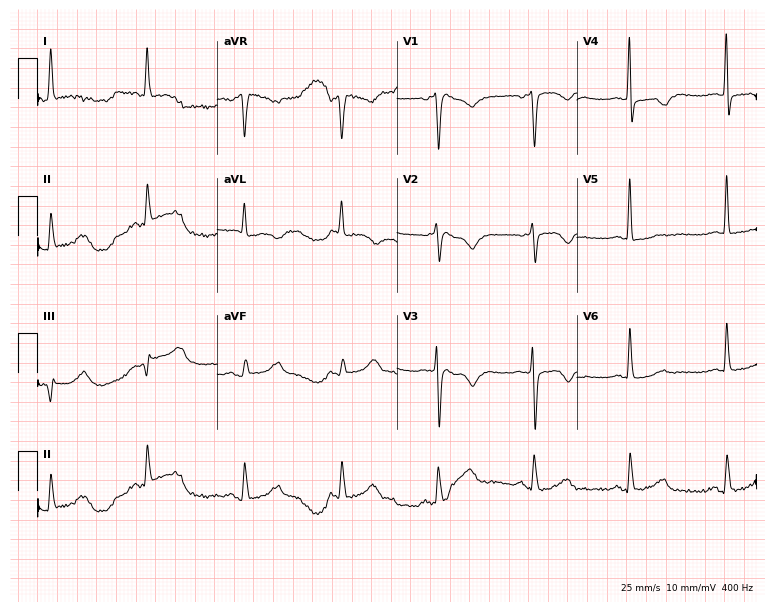
ECG (7.3-second recording at 400 Hz) — a female, 83 years old. Screened for six findings — first-degree AV block, right bundle branch block, left bundle branch block, sinus bradycardia, atrial fibrillation, sinus tachycardia — none is recorded.